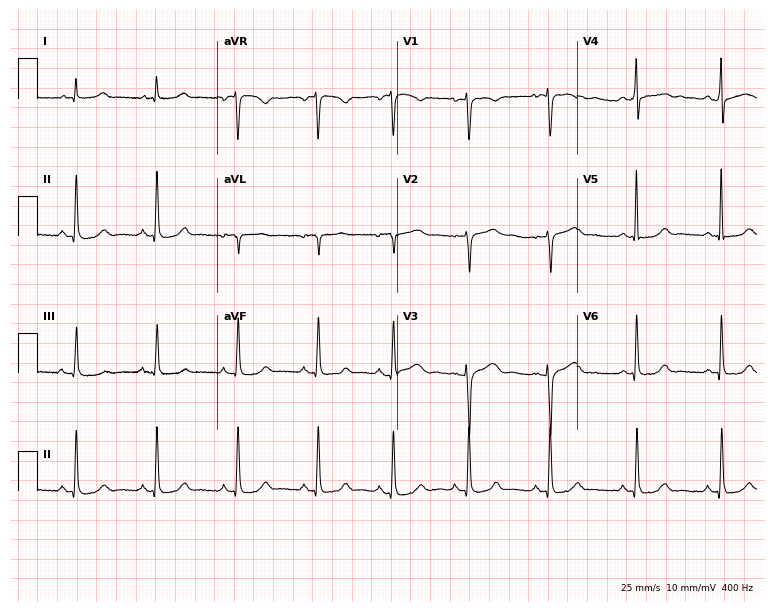
Resting 12-lead electrocardiogram. Patient: a female, 41 years old. Read as a normal ECG.